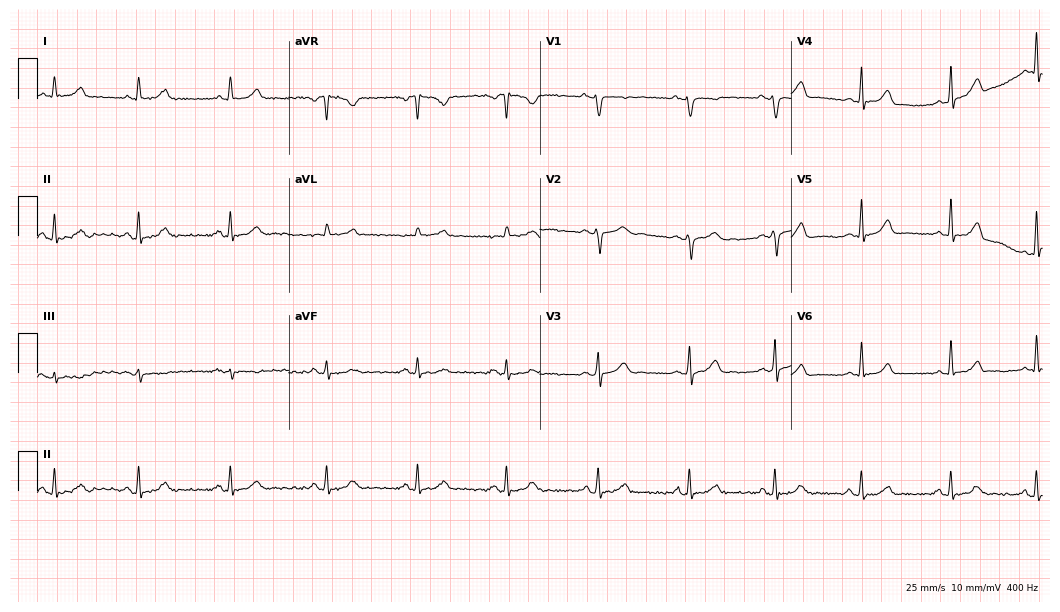
Resting 12-lead electrocardiogram. Patient: a 25-year-old woman. Read as a normal ECG.